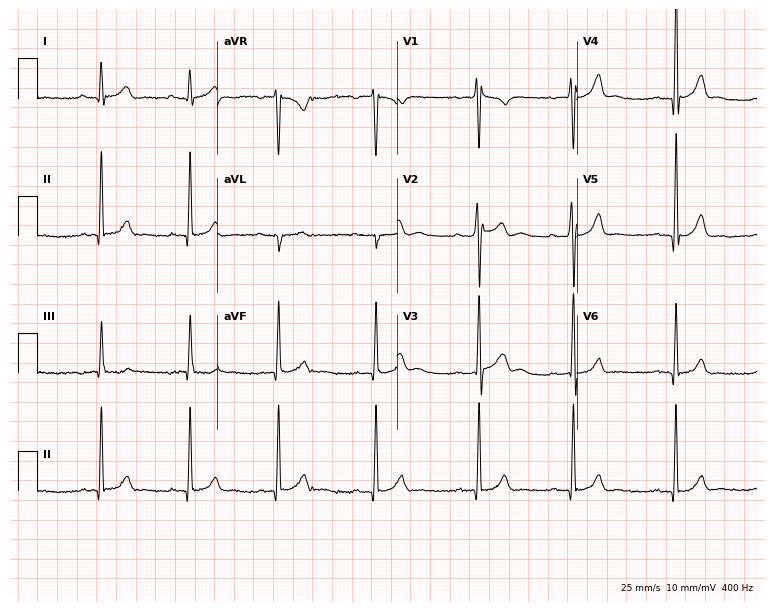
Resting 12-lead electrocardiogram (7.3-second recording at 400 Hz). Patient: a 20-year-old male. None of these six findings is recorded: first-degree AV block, right bundle branch block (RBBB), left bundle branch block (LBBB), sinus bradycardia, atrial fibrillation (AF), sinus tachycardia. Only these six findings were labelled.